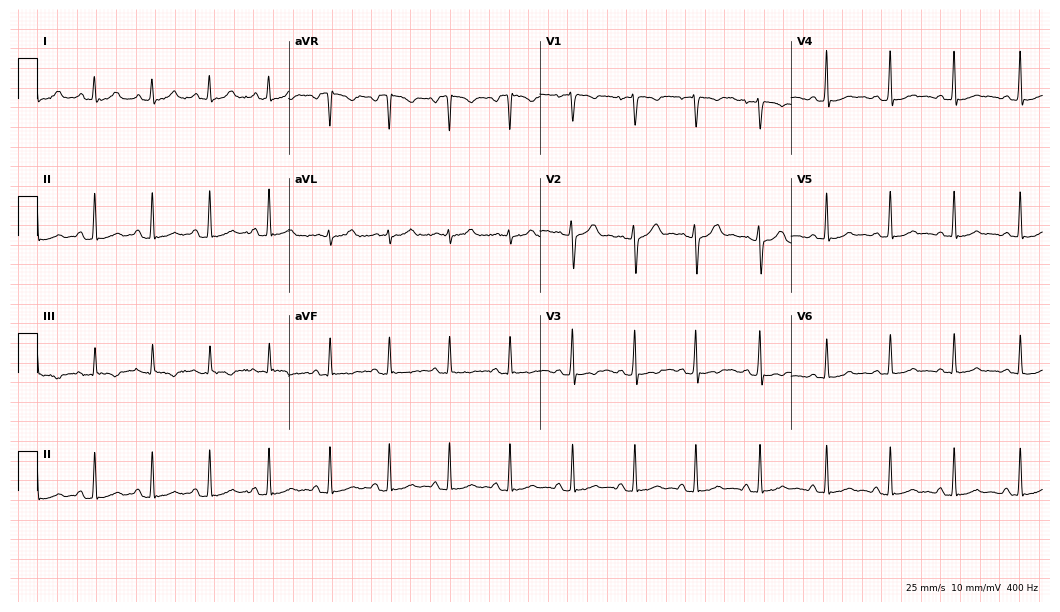
Electrocardiogram (10.2-second recording at 400 Hz), a woman, 18 years old. Overall reading on record: normal ECG.